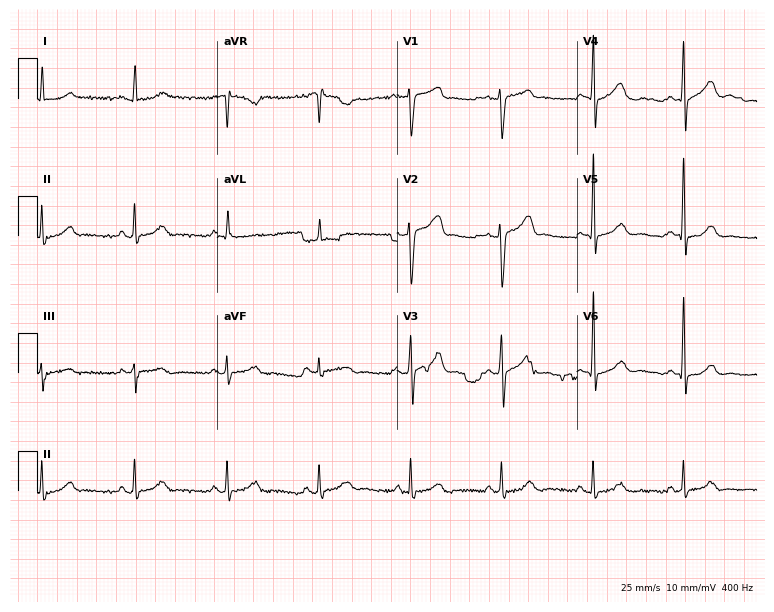
Resting 12-lead electrocardiogram. Patient: a 60-year-old man. Read as a normal ECG.